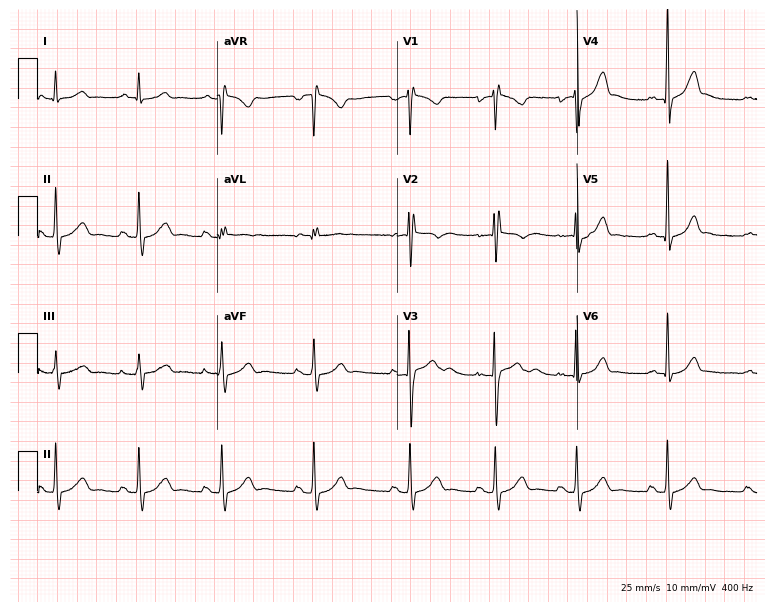
ECG — an 18-year-old male. Screened for six findings — first-degree AV block, right bundle branch block, left bundle branch block, sinus bradycardia, atrial fibrillation, sinus tachycardia — none is recorded. Findings outside these six are not listed.